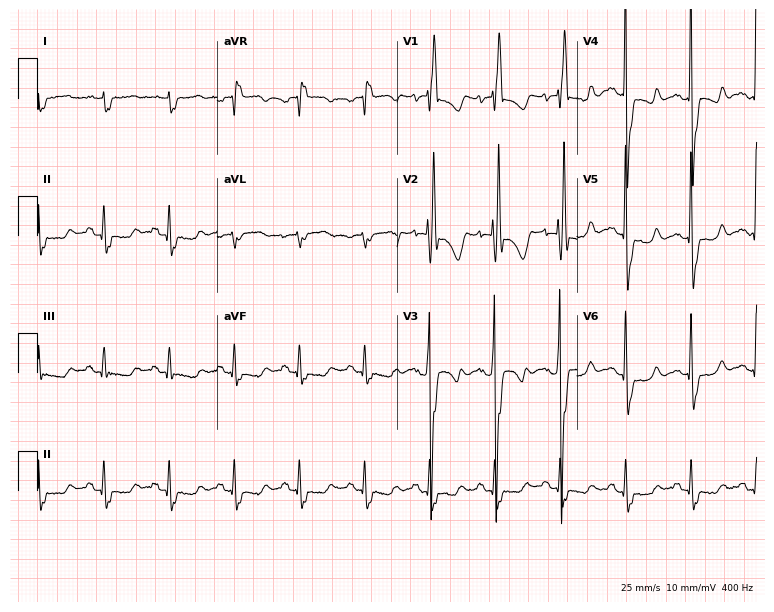
Electrocardiogram, a male, 78 years old. Interpretation includes right bundle branch block.